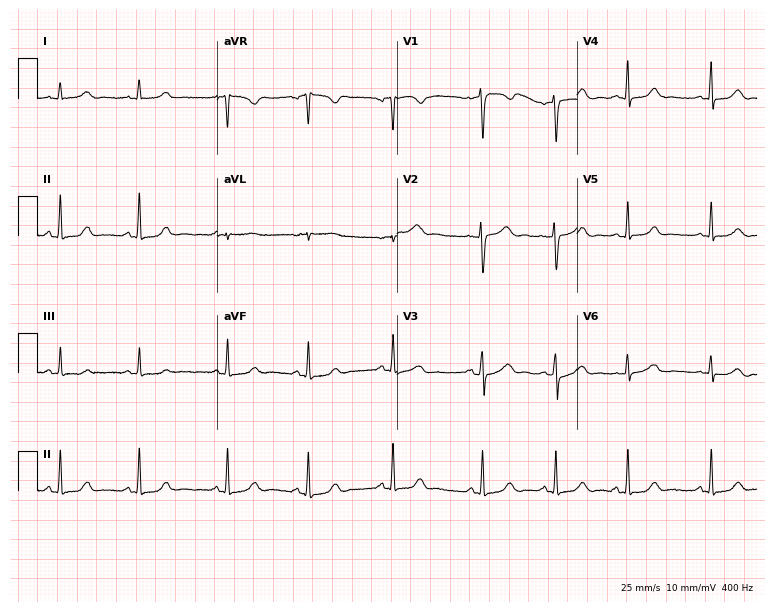
ECG — a 21-year-old female. Labelled as a normal ECG.